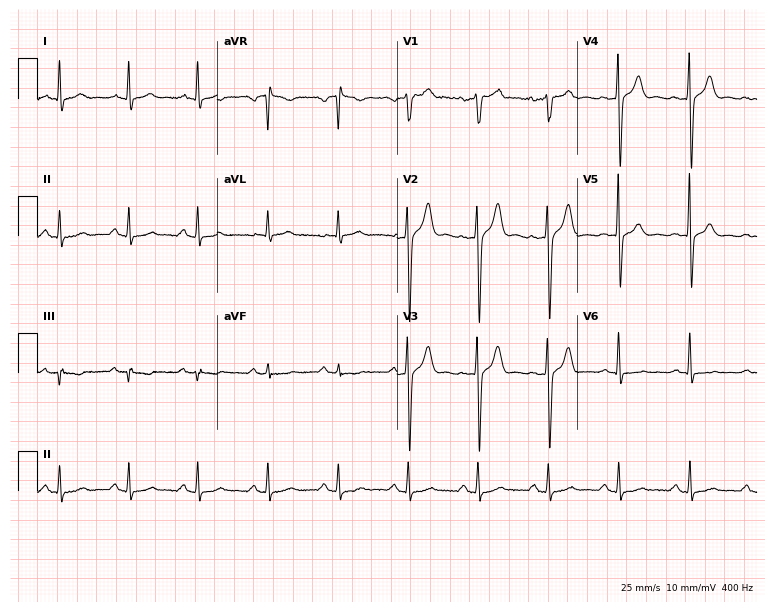
12-lead ECG (7.3-second recording at 400 Hz) from a 41-year-old male patient. Screened for six findings — first-degree AV block, right bundle branch block, left bundle branch block, sinus bradycardia, atrial fibrillation, sinus tachycardia — none is recorded. Findings outside these six are not listed.